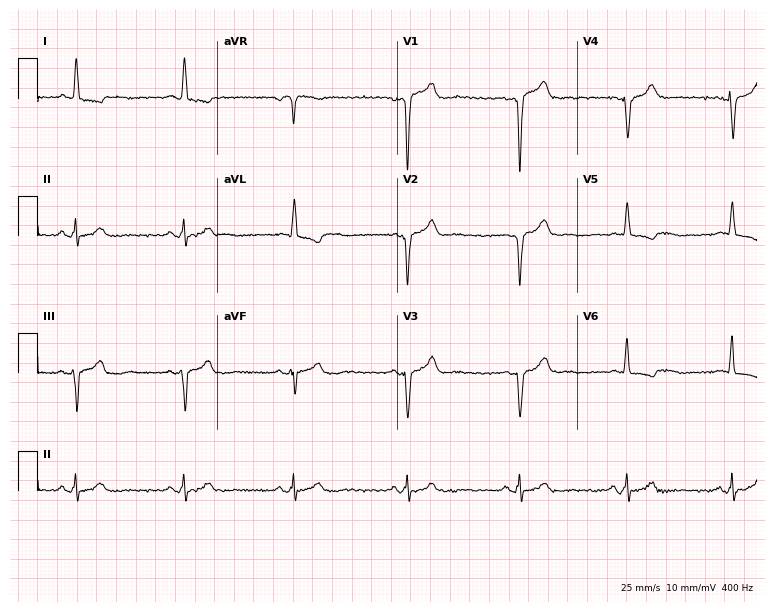
ECG — a 68-year-old man. Screened for six findings — first-degree AV block, right bundle branch block (RBBB), left bundle branch block (LBBB), sinus bradycardia, atrial fibrillation (AF), sinus tachycardia — none is recorded.